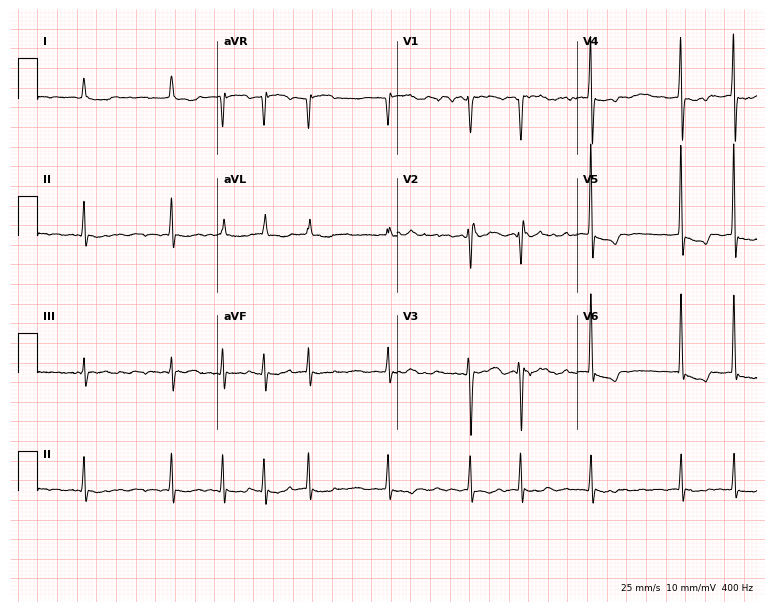
Electrocardiogram (7.3-second recording at 400 Hz), an 85-year-old female. Interpretation includes atrial fibrillation.